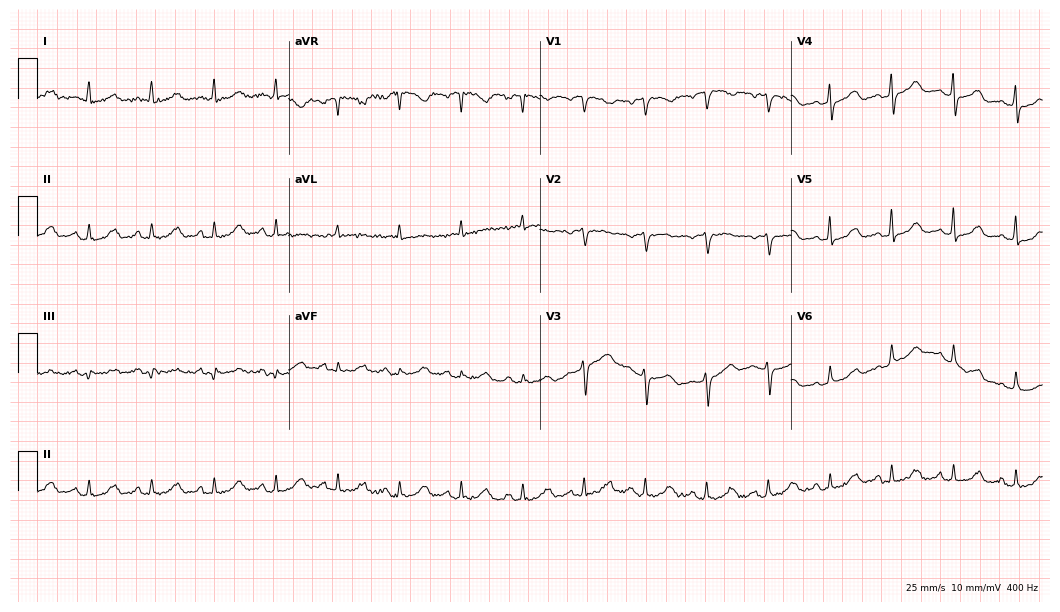
ECG (10.2-second recording at 400 Hz) — a 63-year-old female patient. Labelled as a normal ECG.